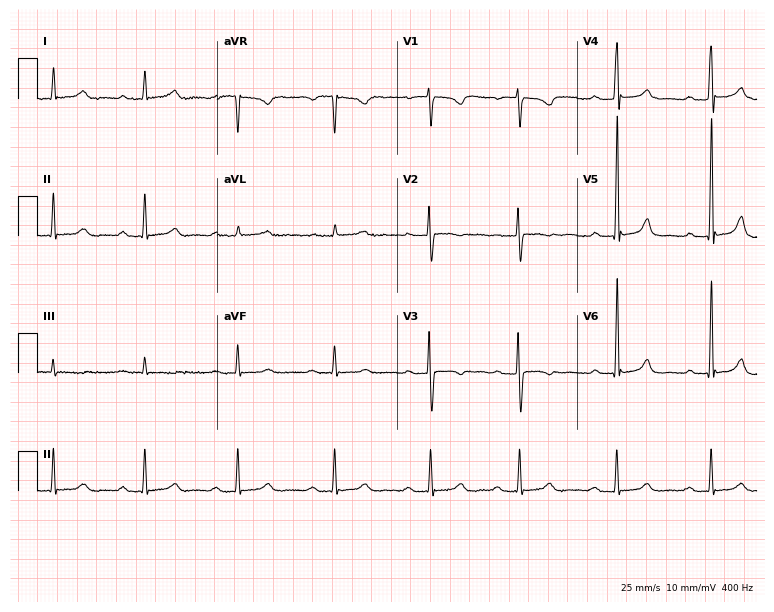
12-lead ECG (7.3-second recording at 400 Hz) from a female, 30 years old. Findings include first-degree AV block.